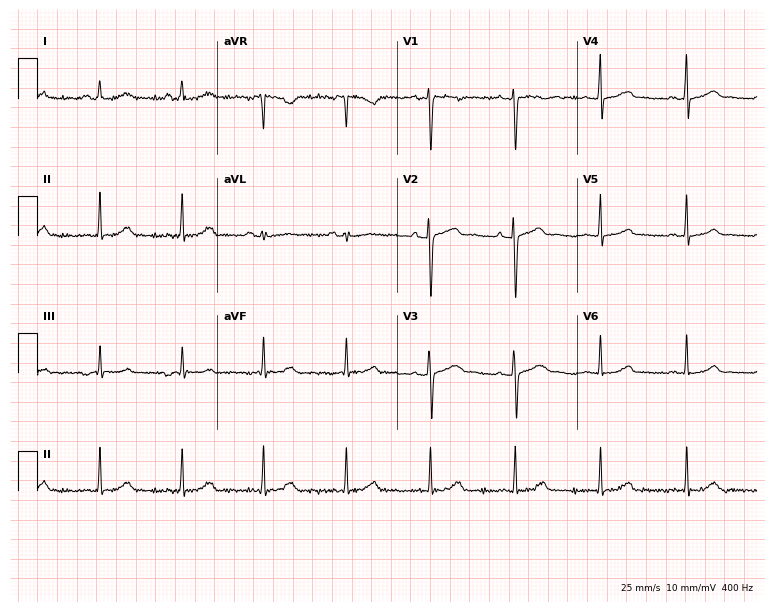
ECG (7.3-second recording at 400 Hz) — a female patient, 29 years old. Labelled as a normal ECG.